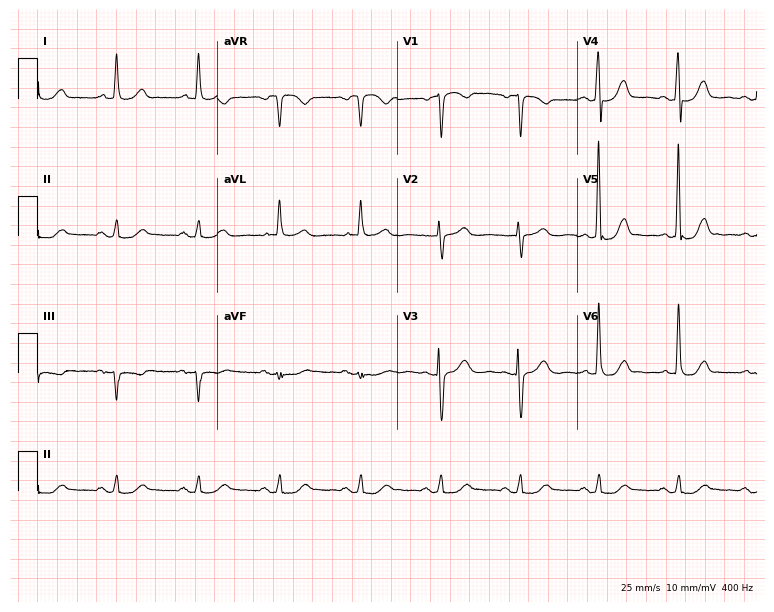
Resting 12-lead electrocardiogram. Patient: a female, 65 years old. Read as a normal ECG.